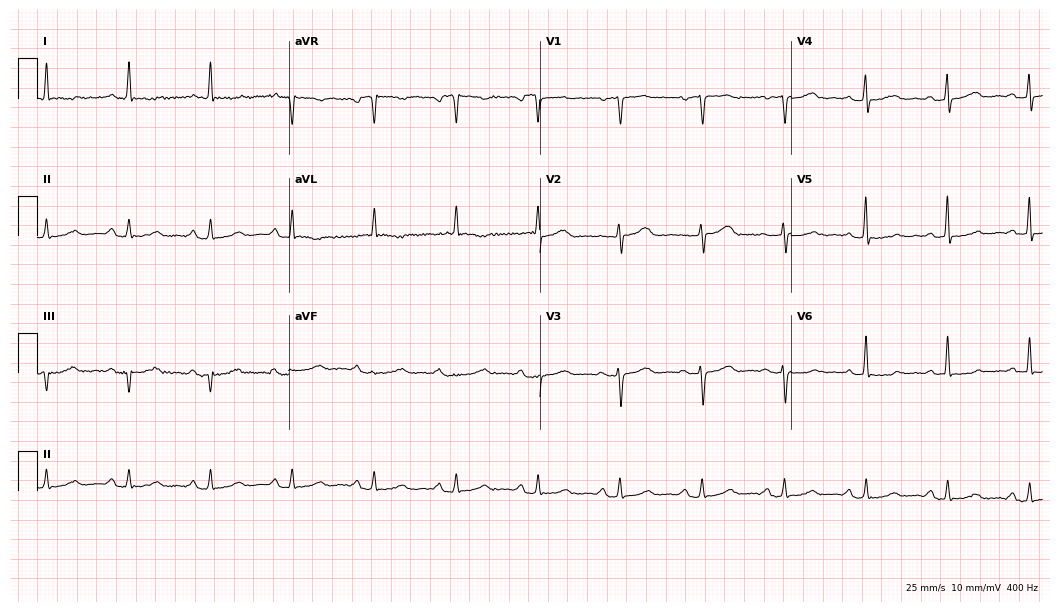
12-lead ECG (10.2-second recording at 400 Hz) from a female patient, 69 years old. Screened for six findings — first-degree AV block, right bundle branch block, left bundle branch block, sinus bradycardia, atrial fibrillation, sinus tachycardia — none is recorded.